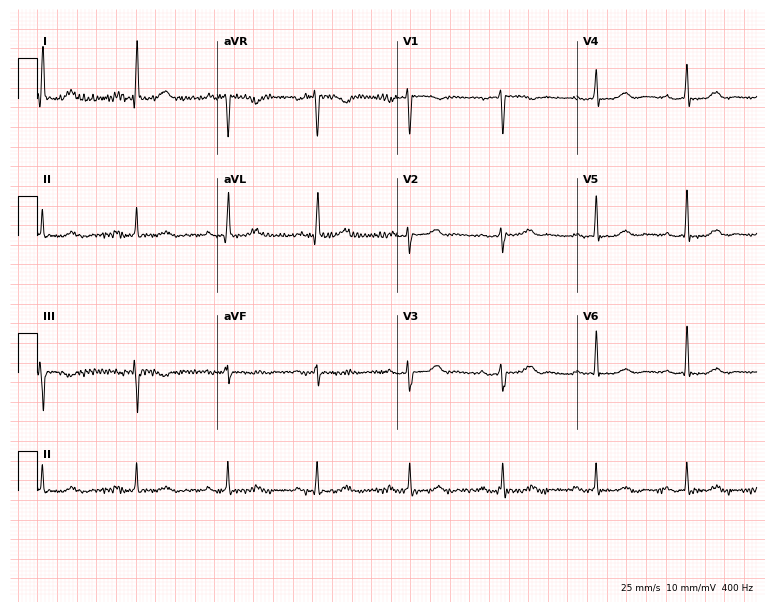
12-lead ECG from a woman, 59 years old. No first-degree AV block, right bundle branch block (RBBB), left bundle branch block (LBBB), sinus bradycardia, atrial fibrillation (AF) or sinus tachycardia recorded for this tracing. Only these six findings were labelled.